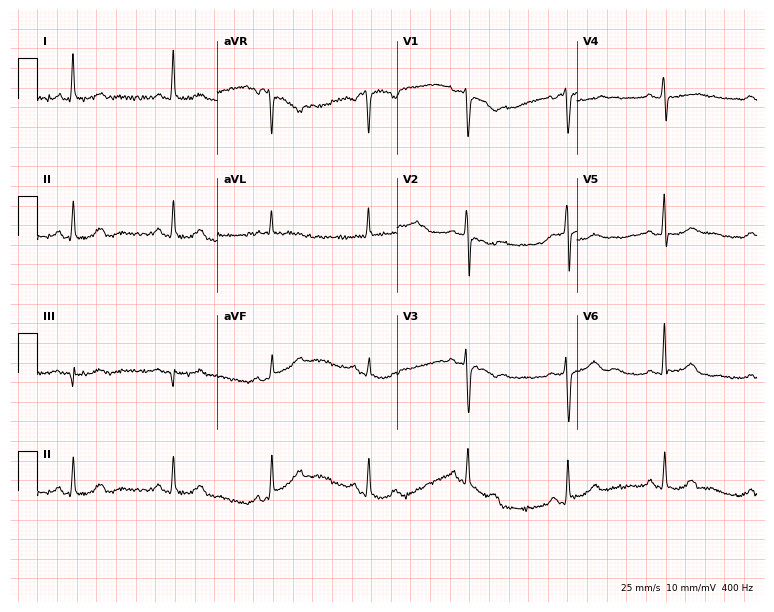
12-lead ECG from a female, 50 years old (7.3-second recording at 400 Hz). No first-degree AV block, right bundle branch block, left bundle branch block, sinus bradycardia, atrial fibrillation or sinus tachycardia recorded for this tracing. Other findings, if any, are not listed.